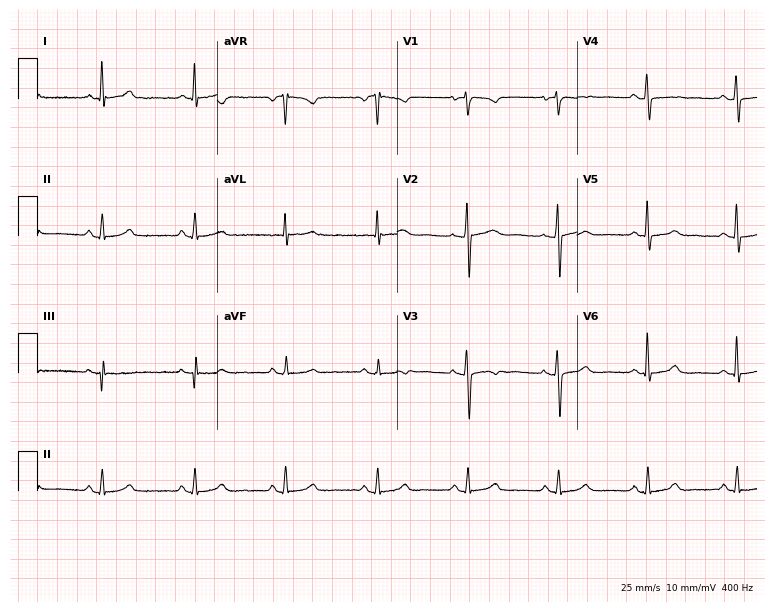
Resting 12-lead electrocardiogram (7.3-second recording at 400 Hz). Patient: a 63-year-old woman. None of these six findings is recorded: first-degree AV block, right bundle branch block, left bundle branch block, sinus bradycardia, atrial fibrillation, sinus tachycardia.